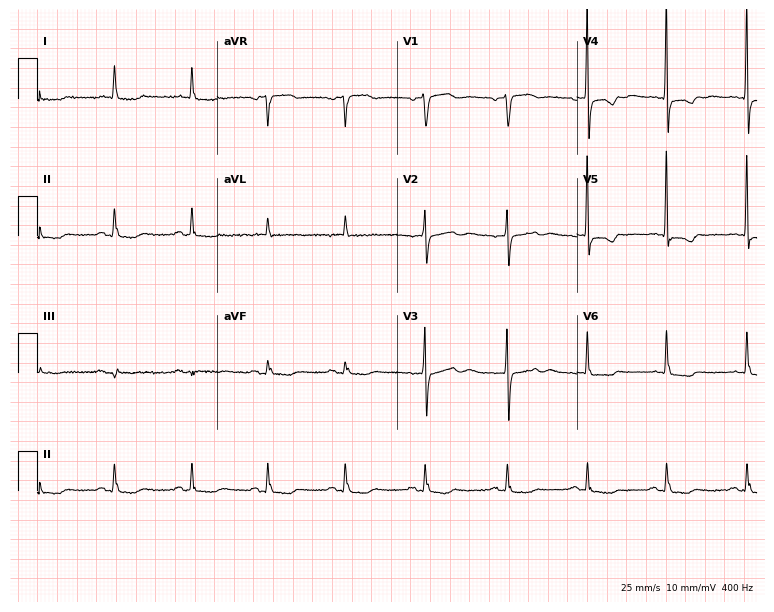
Standard 12-lead ECG recorded from a female, 77 years old. None of these six findings is recorded: first-degree AV block, right bundle branch block, left bundle branch block, sinus bradycardia, atrial fibrillation, sinus tachycardia.